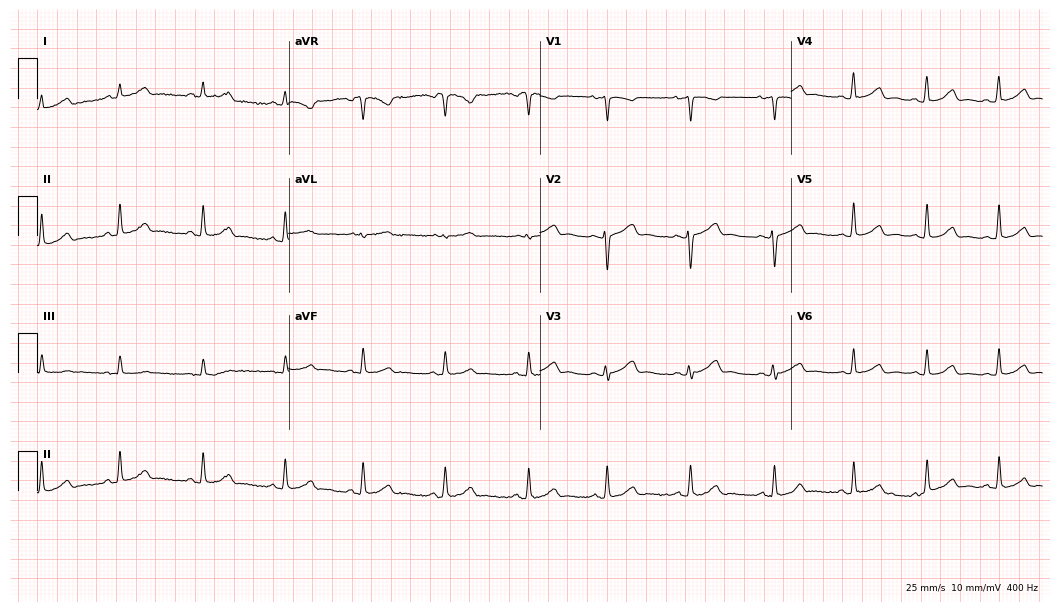
12-lead ECG from a 19-year-old female patient (10.2-second recording at 400 Hz). No first-degree AV block, right bundle branch block (RBBB), left bundle branch block (LBBB), sinus bradycardia, atrial fibrillation (AF) or sinus tachycardia recorded for this tracing. Findings outside these six are not listed.